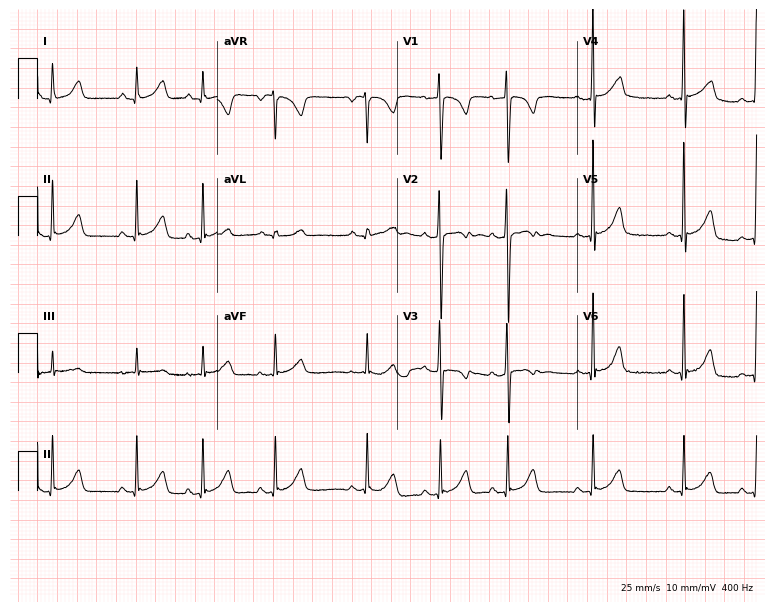
12-lead ECG from an 18-year-old male patient. Recorded interpretation: within normal limits.